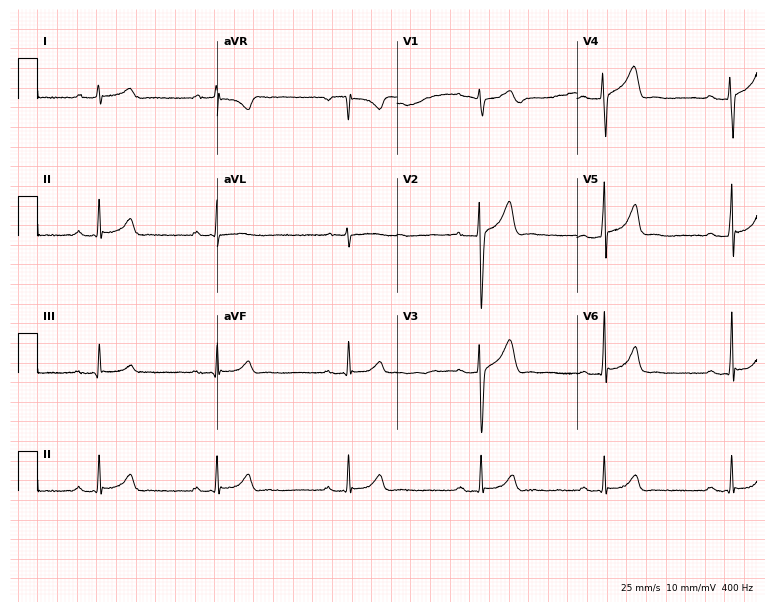
Electrocardiogram (7.3-second recording at 400 Hz), a 39-year-old male. Interpretation includes sinus bradycardia (a sinus rate of 50 beats per minute or less).